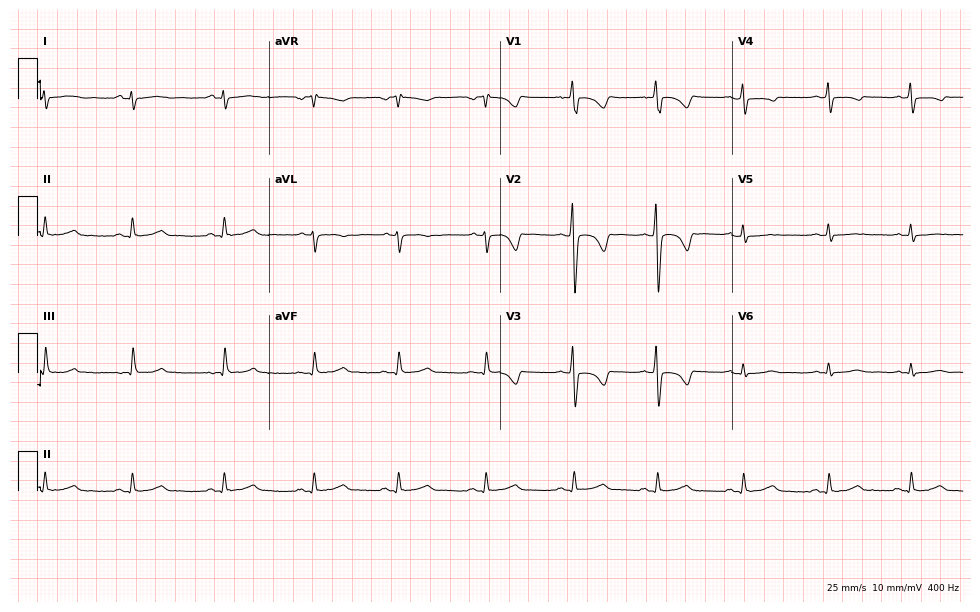
Electrocardiogram, a 30-year-old female patient. Of the six screened findings (first-degree AV block, right bundle branch block (RBBB), left bundle branch block (LBBB), sinus bradycardia, atrial fibrillation (AF), sinus tachycardia), none is recorded.